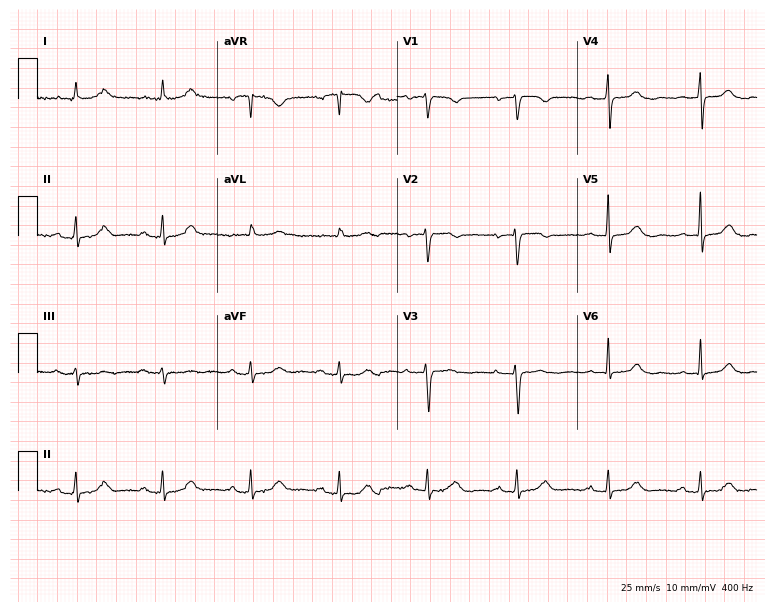
Resting 12-lead electrocardiogram (7.3-second recording at 400 Hz). Patient: a female, 80 years old. None of these six findings is recorded: first-degree AV block, right bundle branch block, left bundle branch block, sinus bradycardia, atrial fibrillation, sinus tachycardia.